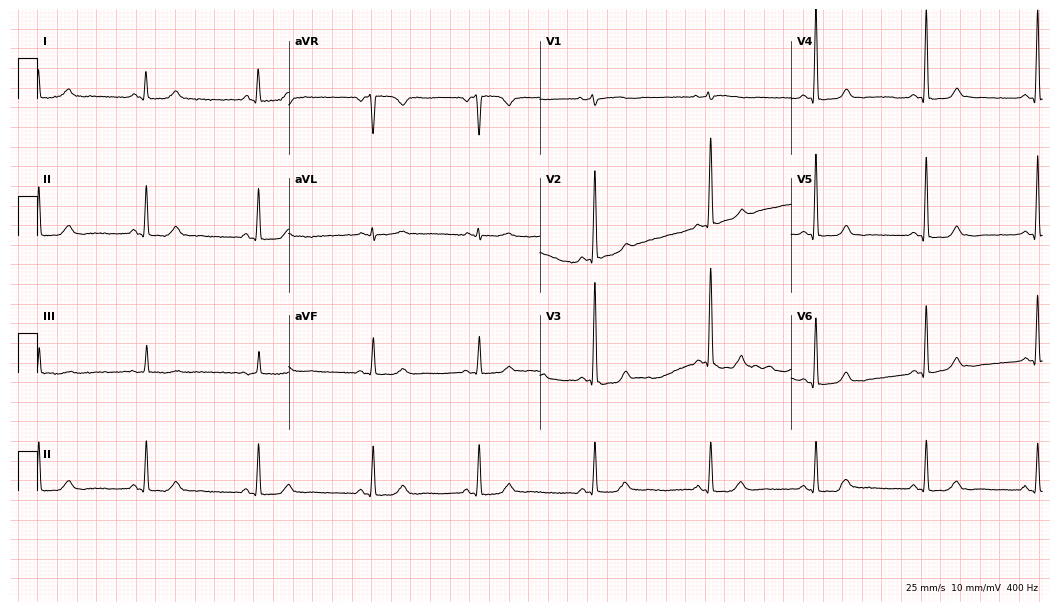
12-lead ECG from a 50-year-old man. Screened for six findings — first-degree AV block, right bundle branch block, left bundle branch block, sinus bradycardia, atrial fibrillation, sinus tachycardia — none is recorded.